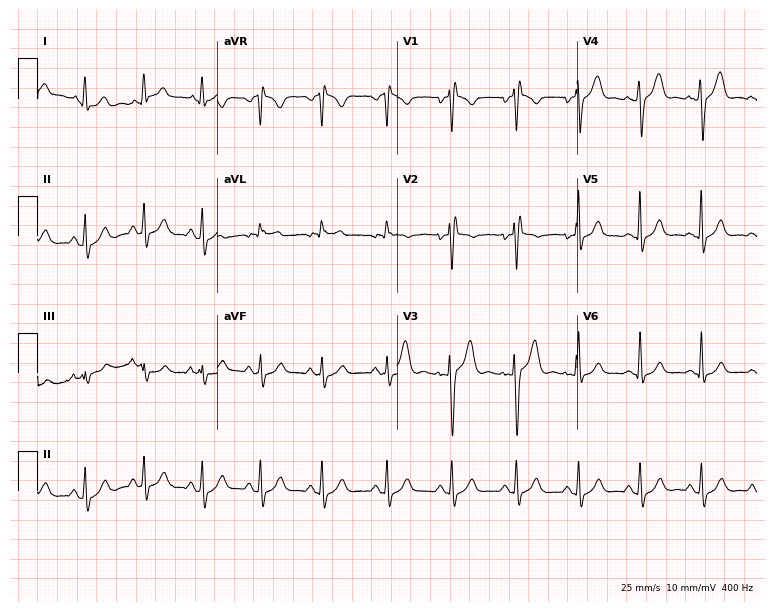
12-lead ECG (7.3-second recording at 400 Hz) from a man, 18 years old. Screened for six findings — first-degree AV block, right bundle branch block, left bundle branch block, sinus bradycardia, atrial fibrillation, sinus tachycardia — none is recorded.